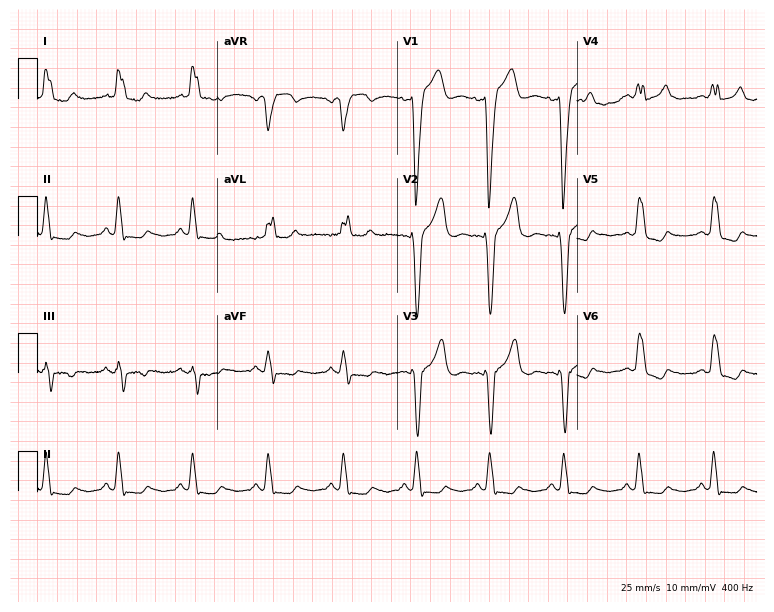
Resting 12-lead electrocardiogram. Patient: a 68-year-old female. None of these six findings is recorded: first-degree AV block, right bundle branch block (RBBB), left bundle branch block (LBBB), sinus bradycardia, atrial fibrillation (AF), sinus tachycardia. Other findings, if any, are not listed.